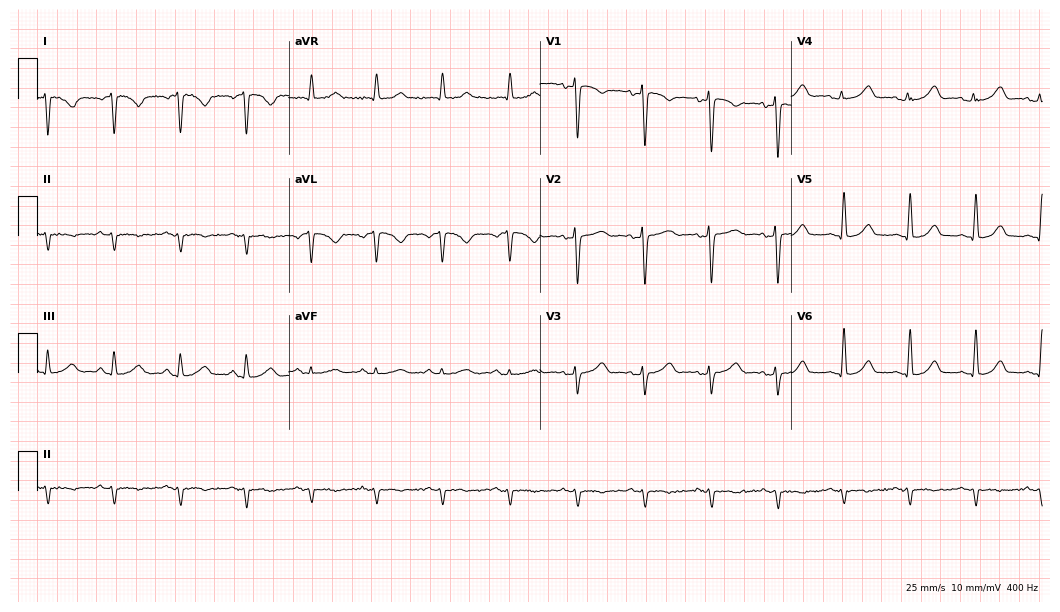
Electrocardiogram, a female patient, 41 years old. Of the six screened findings (first-degree AV block, right bundle branch block, left bundle branch block, sinus bradycardia, atrial fibrillation, sinus tachycardia), none is recorded.